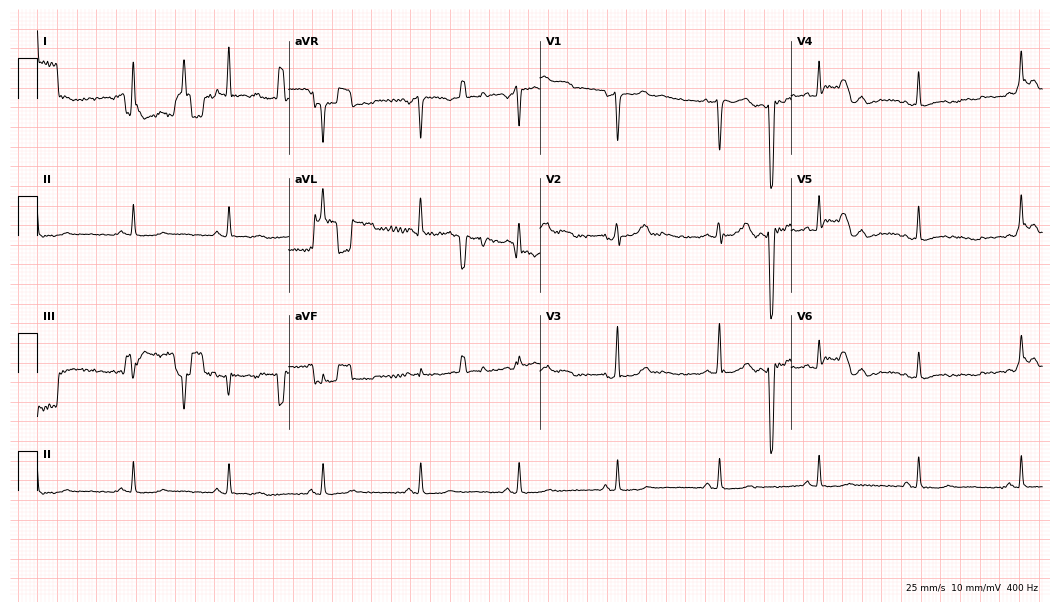
Electrocardiogram, a female patient, 49 years old. Of the six screened findings (first-degree AV block, right bundle branch block (RBBB), left bundle branch block (LBBB), sinus bradycardia, atrial fibrillation (AF), sinus tachycardia), none is recorded.